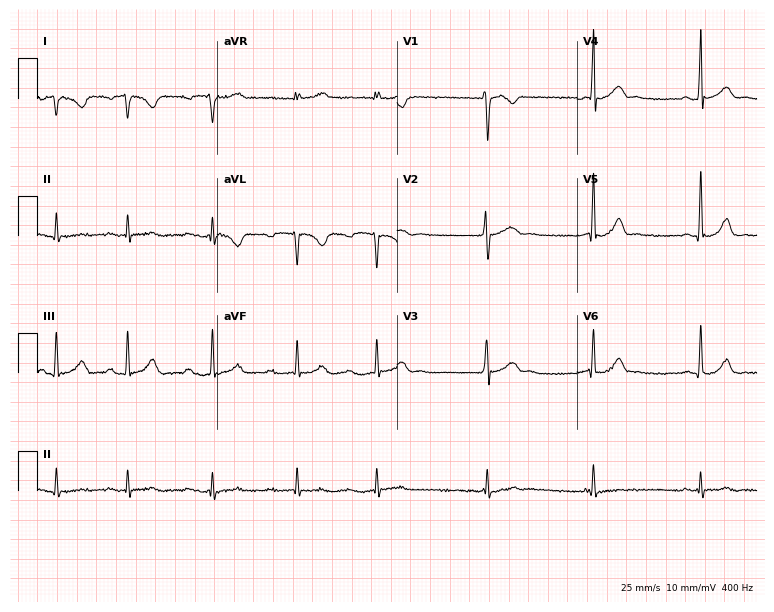
Resting 12-lead electrocardiogram (7.3-second recording at 400 Hz). Patient: a female, 21 years old. None of these six findings is recorded: first-degree AV block, right bundle branch block, left bundle branch block, sinus bradycardia, atrial fibrillation, sinus tachycardia.